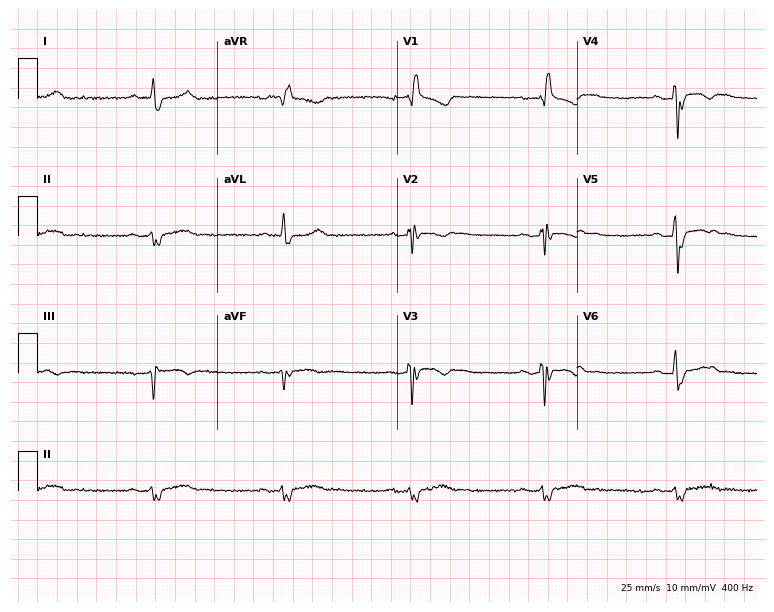
12-lead ECG from a 50-year-old female. Screened for six findings — first-degree AV block, right bundle branch block, left bundle branch block, sinus bradycardia, atrial fibrillation, sinus tachycardia — none is recorded. Only these six findings were labelled.